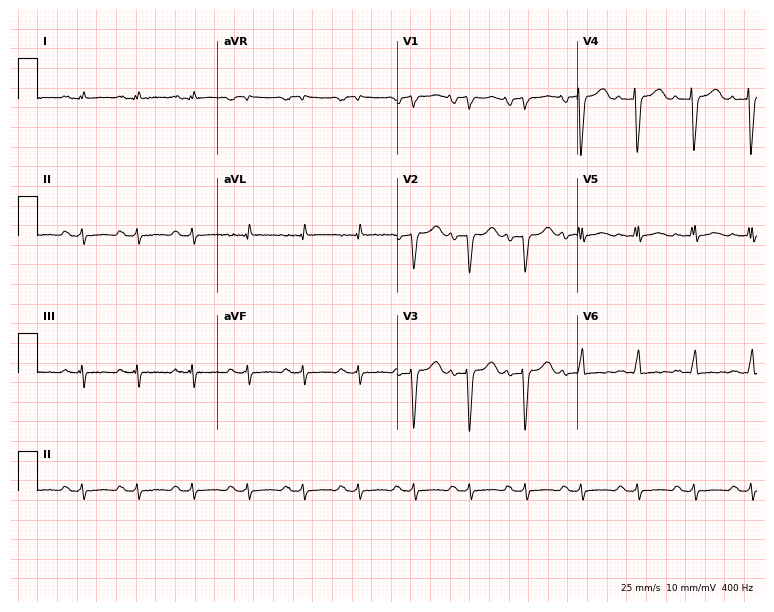
12-lead ECG (7.3-second recording at 400 Hz) from a male, 47 years old. Screened for six findings — first-degree AV block, right bundle branch block (RBBB), left bundle branch block (LBBB), sinus bradycardia, atrial fibrillation (AF), sinus tachycardia — none is recorded.